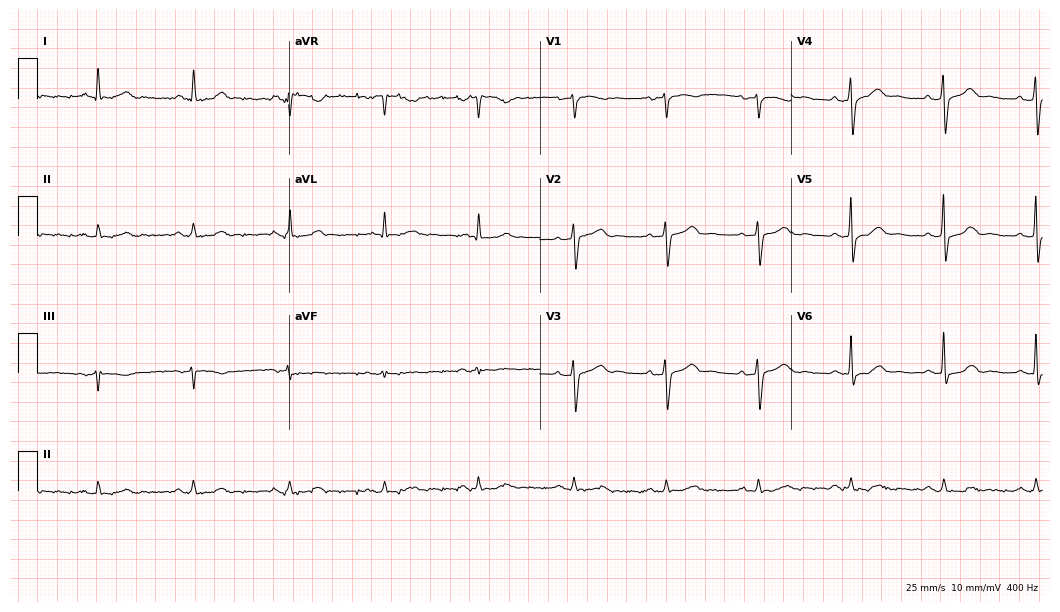
Standard 12-lead ECG recorded from a 61-year-old woman. Read as a normal ECG.